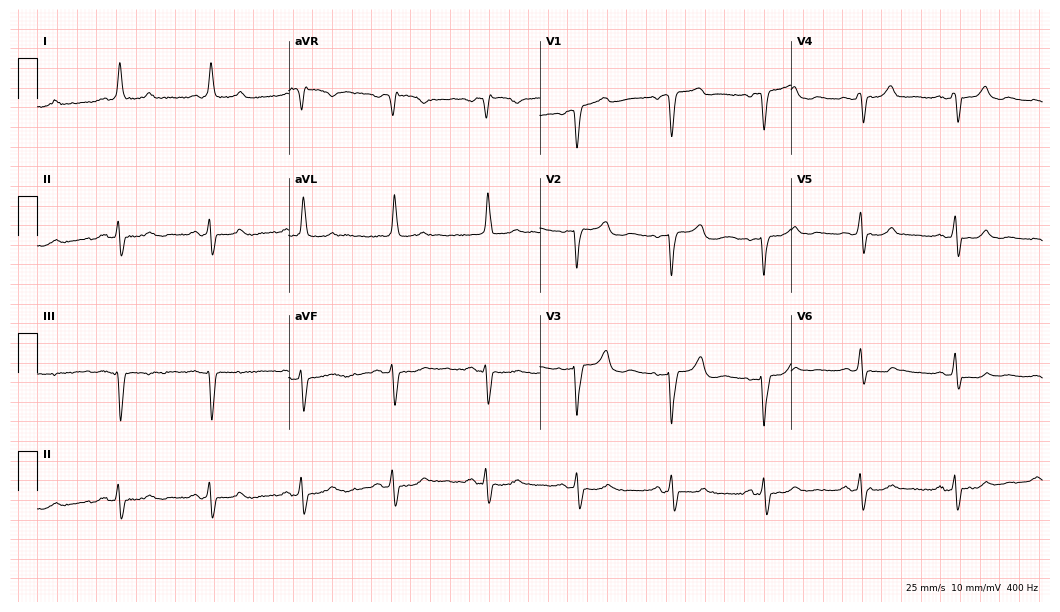
12-lead ECG from a 76-year-old woman (10.2-second recording at 400 Hz). No first-degree AV block, right bundle branch block, left bundle branch block, sinus bradycardia, atrial fibrillation or sinus tachycardia recorded for this tracing.